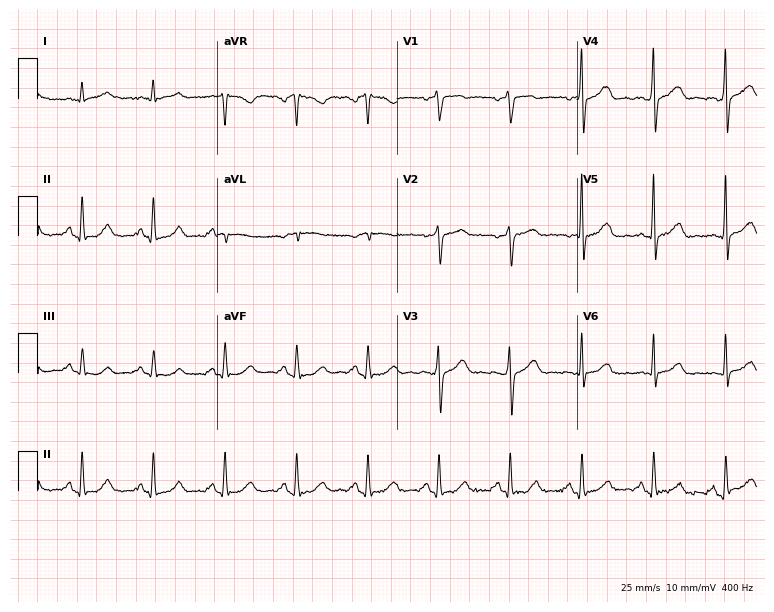
Resting 12-lead electrocardiogram. Patient: a 53-year-old male. Read as a normal ECG.